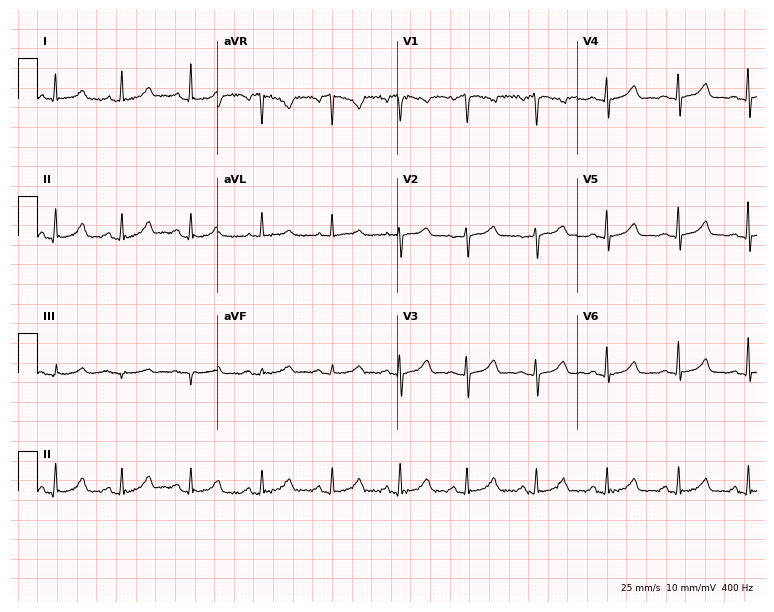
12-lead ECG (7.3-second recording at 400 Hz) from a female patient, 46 years old. Screened for six findings — first-degree AV block, right bundle branch block, left bundle branch block, sinus bradycardia, atrial fibrillation, sinus tachycardia — none is recorded.